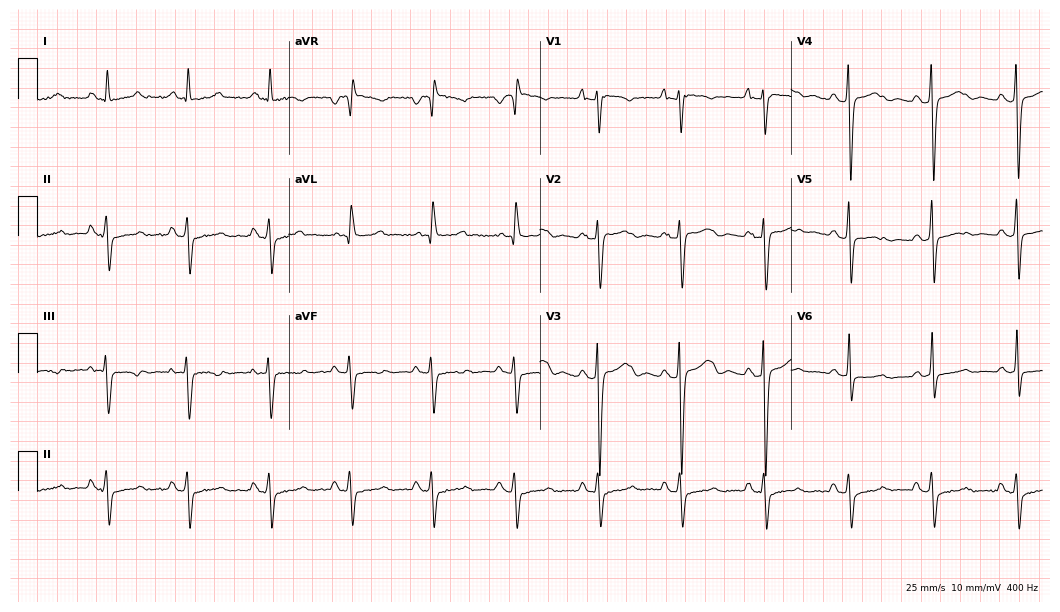
Standard 12-lead ECG recorded from a female patient, 30 years old. None of these six findings is recorded: first-degree AV block, right bundle branch block, left bundle branch block, sinus bradycardia, atrial fibrillation, sinus tachycardia.